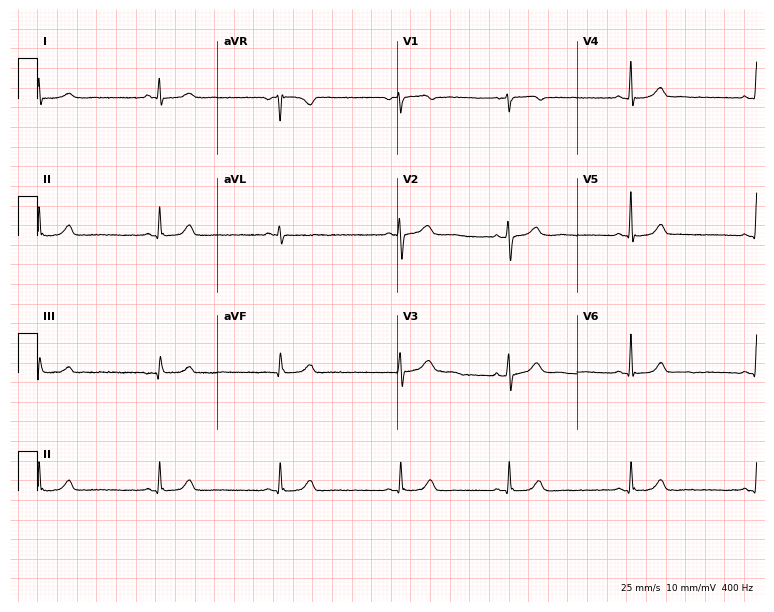
Electrocardiogram (7.3-second recording at 400 Hz), a female, 45 years old. Overall reading on record: normal ECG.